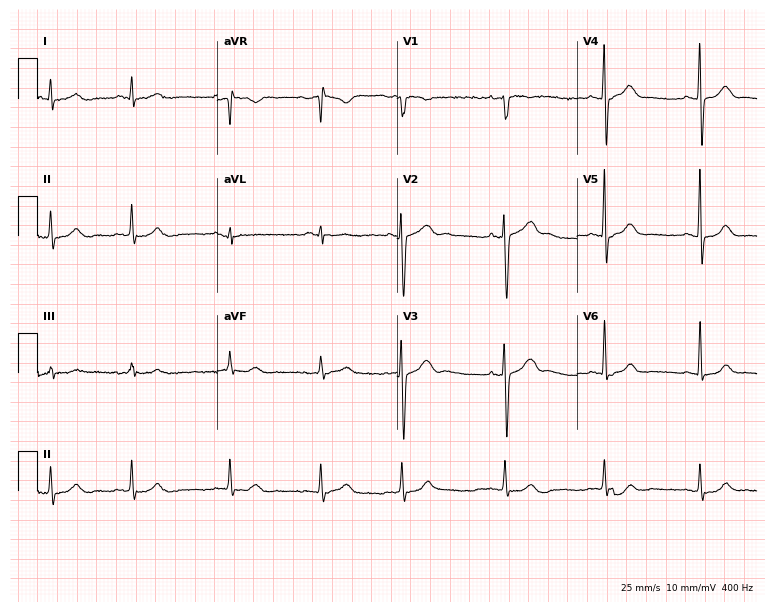
ECG (7.3-second recording at 400 Hz) — a 20-year-old female. Screened for six findings — first-degree AV block, right bundle branch block, left bundle branch block, sinus bradycardia, atrial fibrillation, sinus tachycardia — none is recorded. Other findings, if any, are not listed.